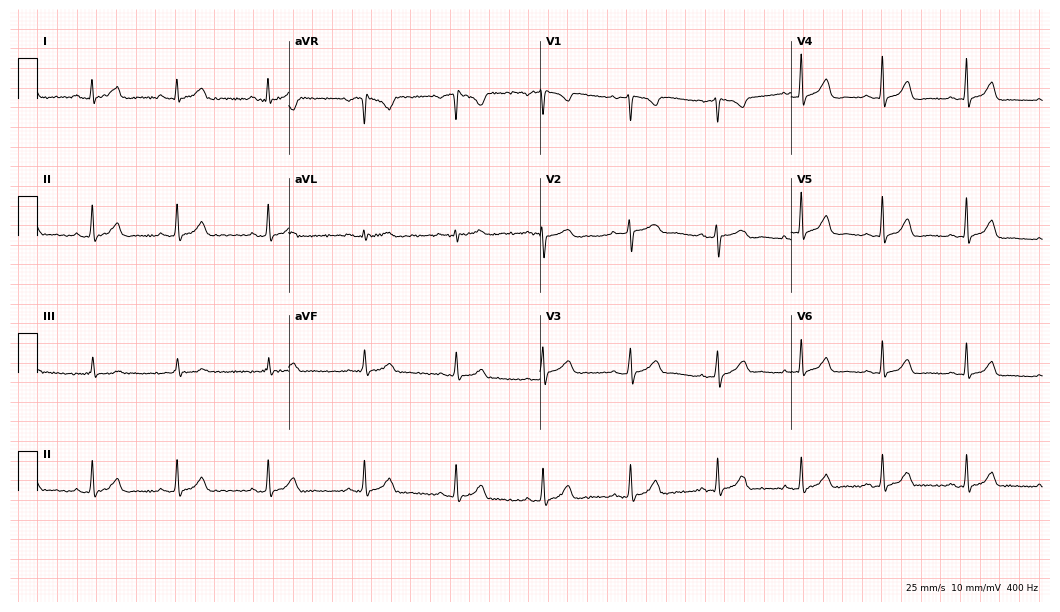
ECG (10.2-second recording at 400 Hz) — a 30-year-old woman. Labelled as a normal ECG.